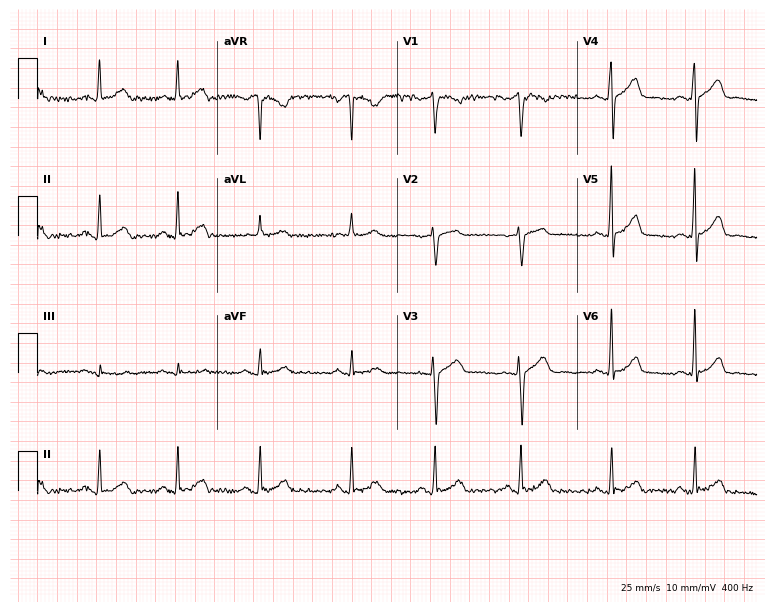
ECG — a female, 44 years old. Labelled as a normal ECG.